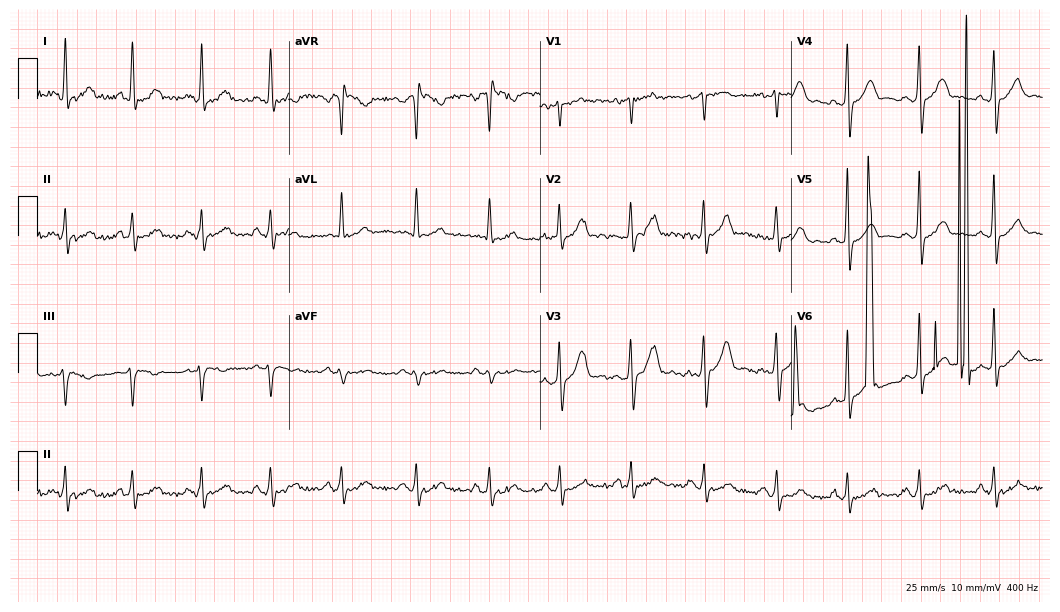
Electrocardiogram, a male patient, 39 years old. Of the six screened findings (first-degree AV block, right bundle branch block (RBBB), left bundle branch block (LBBB), sinus bradycardia, atrial fibrillation (AF), sinus tachycardia), none is recorded.